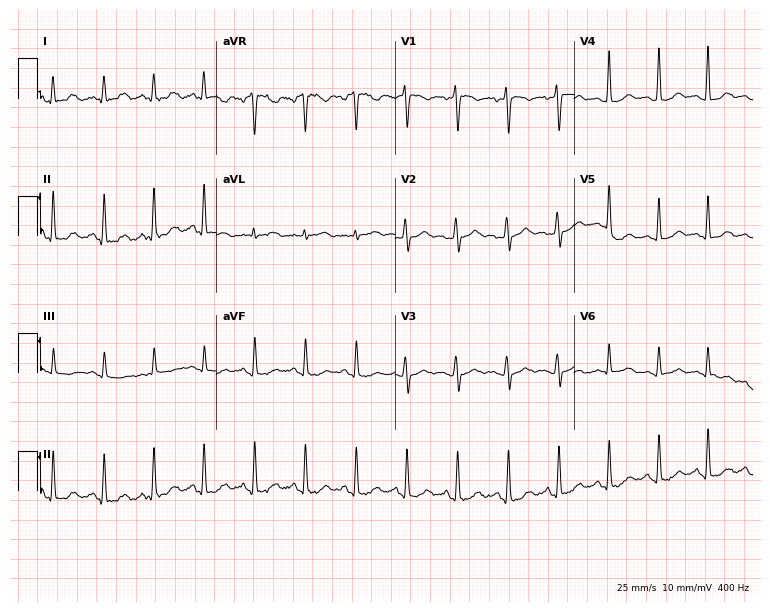
ECG (7.3-second recording at 400 Hz) — a female patient, 24 years old. Findings include sinus tachycardia (a sinus rate of 100 beats per minute or more).